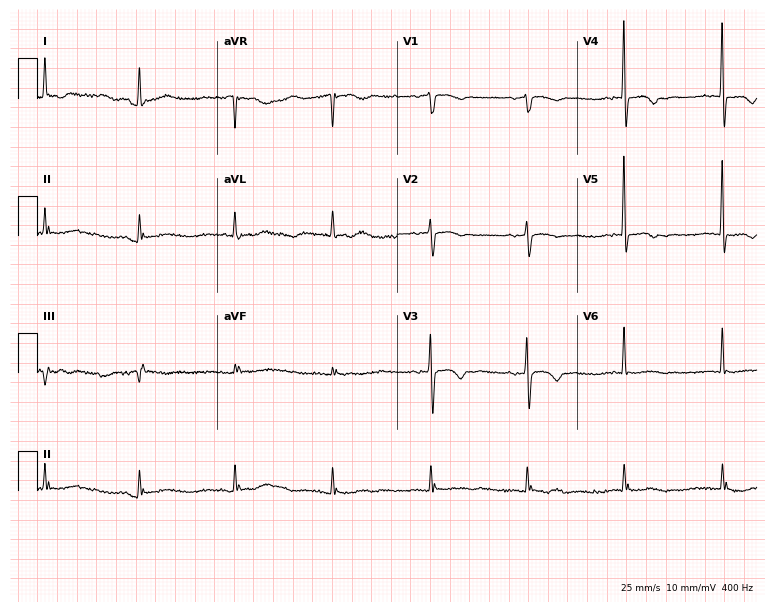
12-lead ECG from a female, 81 years old. Screened for six findings — first-degree AV block, right bundle branch block, left bundle branch block, sinus bradycardia, atrial fibrillation, sinus tachycardia — none is recorded. Findings outside these six are not listed.